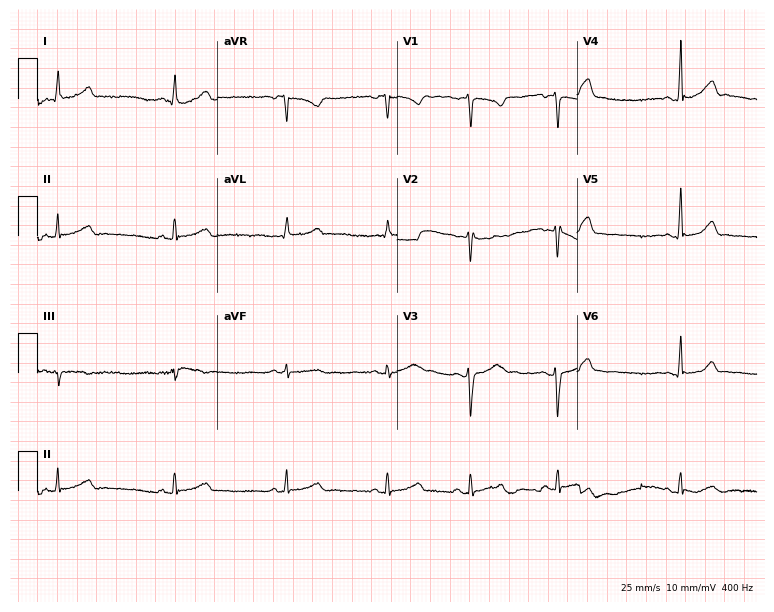
ECG — a 23-year-old woman. Screened for six findings — first-degree AV block, right bundle branch block, left bundle branch block, sinus bradycardia, atrial fibrillation, sinus tachycardia — none is recorded.